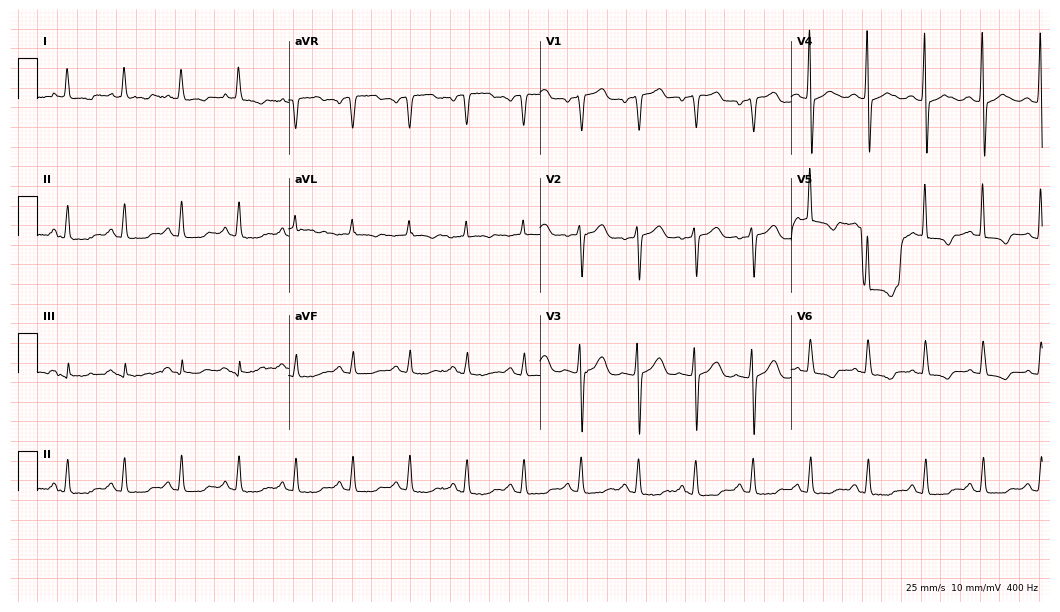
Electrocardiogram (10.2-second recording at 400 Hz), a female patient, 56 years old. Interpretation includes sinus tachycardia (a sinus rate of 100 beats per minute or more).